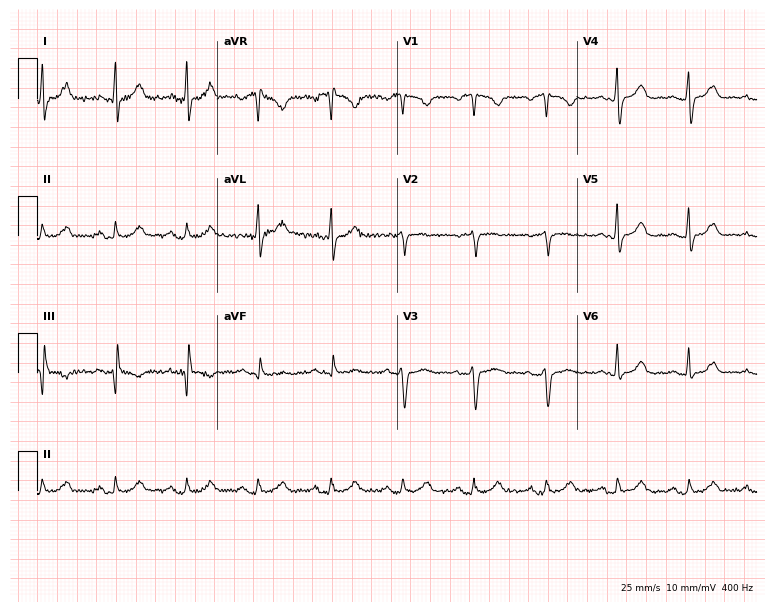
Standard 12-lead ECG recorded from a 46-year-old woman (7.3-second recording at 400 Hz). None of these six findings is recorded: first-degree AV block, right bundle branch block (RBBB), left bundle branch block (LBBB), sinus bradycardia, atrial fibrillation (AF), sinus tachycardia.